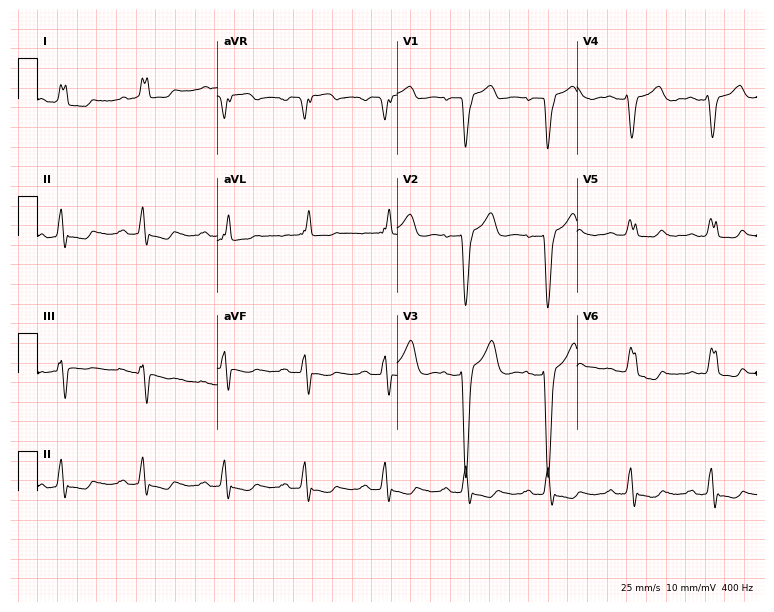
Electrocardiogram (7.3-second recording at 400 Hz), a 74-year-old female patient. Interpretation includes left bundle branch block.